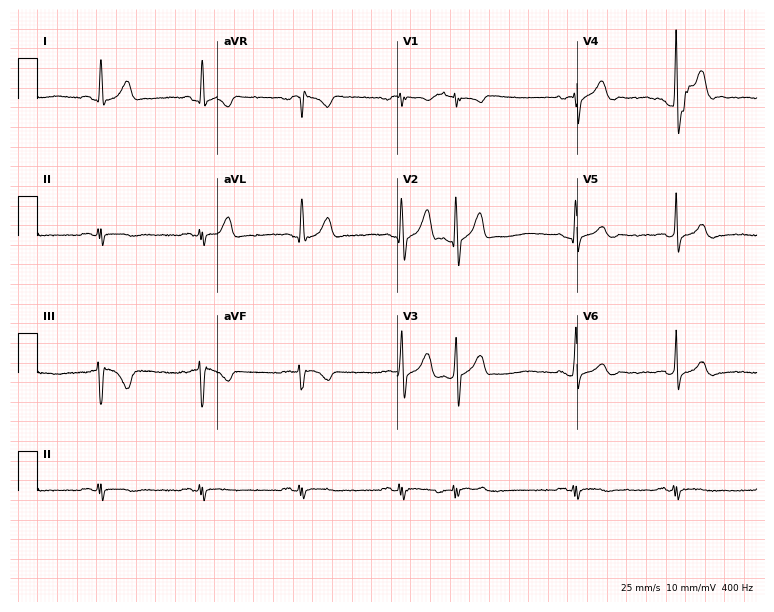
Resting 12-lead electrocardiogram (7.3-second recording at 400 Hz). Patient: a 67-year-old male. None of these six findings is recorded: first-degree AV block, right bundle branch block, left bundle branch block, sinus bradycardia, atrial fibrillation, sinus tachycardia. Other findings, if any, are not listed.